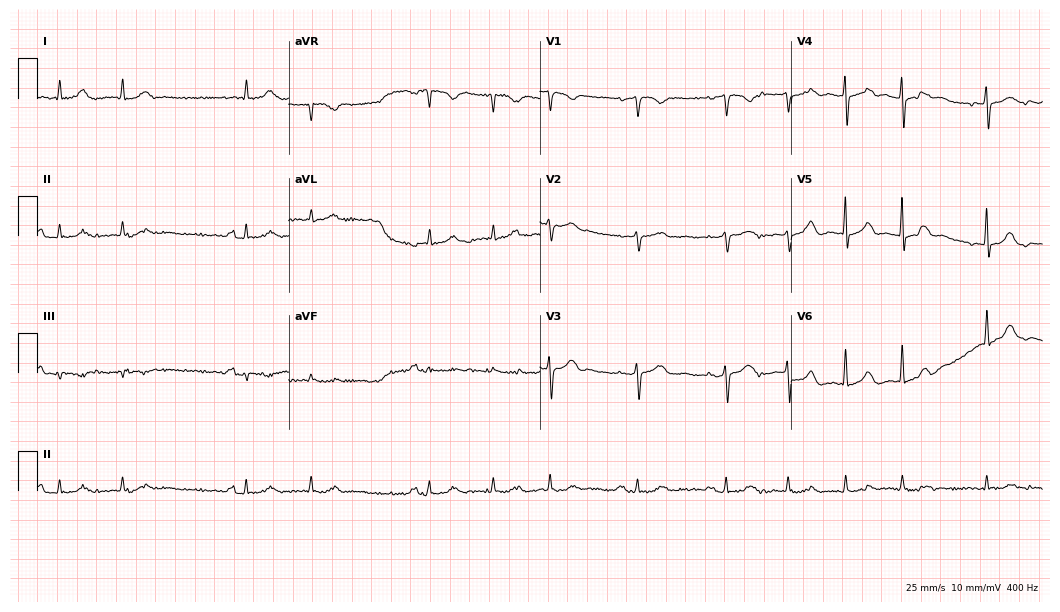
Resting 12-lead electrocardiogram. Patient: a female, 80 years old. None of these six findings is recorded: first-degree AV block, right bundle branch block, left bundle branch block, sinus bradycardia, atrial fibrillation, sinus tachycardia. Findings outside these six are not listed.